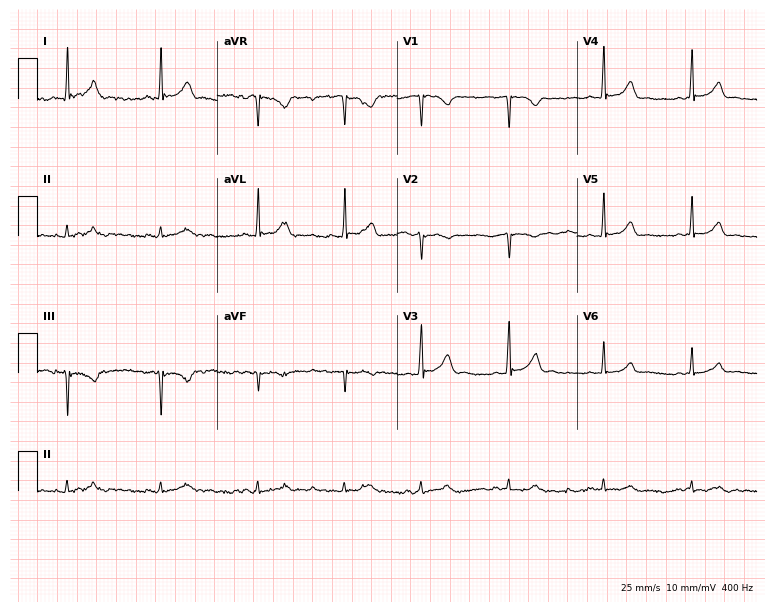
Electrocardiogram (7.3-second recording at 400 Hz), a woman, 19 years old. Overall reading on record: normal ECG.